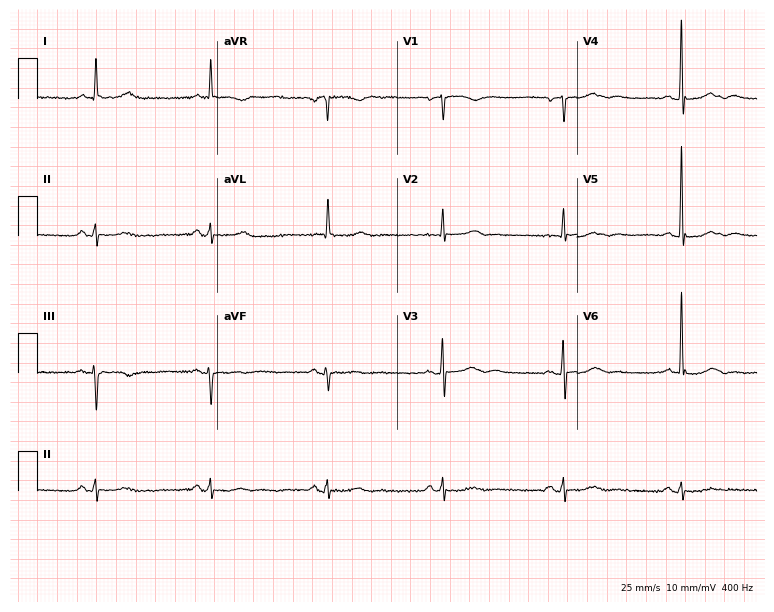
Standard 12-lead ECG recorded from a woman, 71 years old. The tracing shows sinus bradycardia (a sinus rate of 50 beats per minute or less).